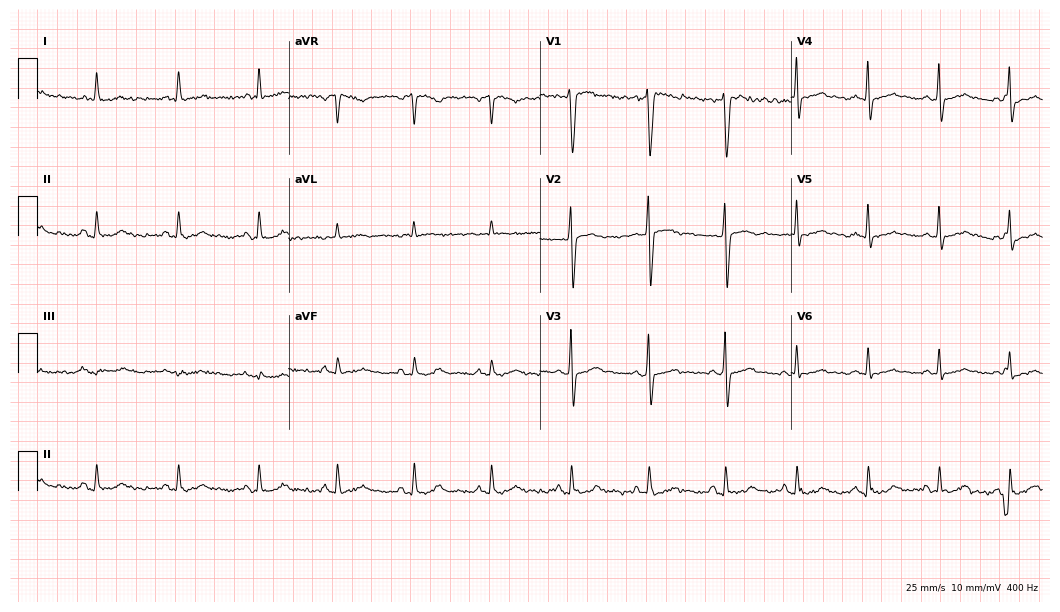
12-lead ECG from a male patient, 42 years old. Screened for six findings — first-degree AV block, right bundle branch block, left bundle branch block, sinus bradycardia, atrial fibrillation, sinus tachycardia — none is recorded.